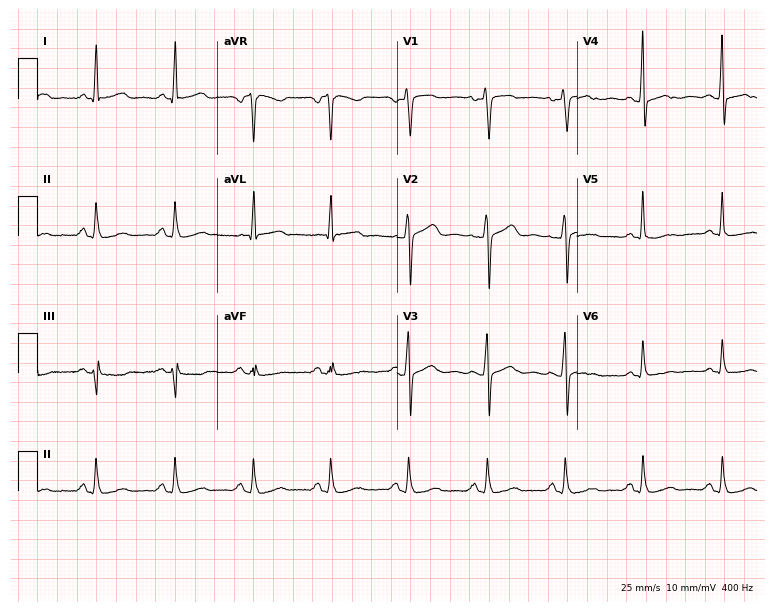
Standard 12-lead ECG recorded from a 57-year-old female patient (7.3-second recording at 400 Hz). None of these six findings is recorded: first-degree AV block, right bundle branch block (RBBB), left bundle branch block (LBBB), sinus bradycardia, atrial fibrillation (AF), sinus tachycardia.